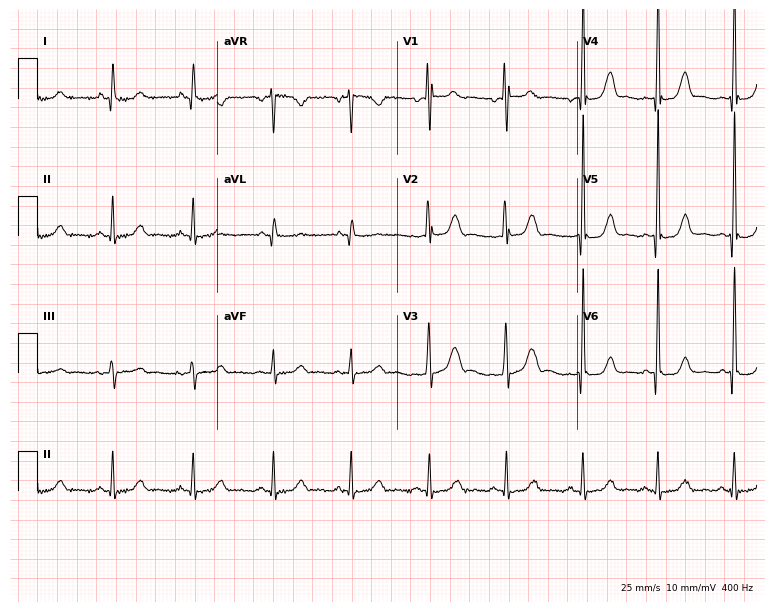
Electrocardiogram (7.3-second recording at 400 Hz), a 38-year-old female patient. Of the six screened findings (first-degree AV block, right bundle branch block, left bundle branch block, sinus bradycardia, atrial fibrillation, sinus tachycardia), none is recorded. Other findings, if any, are not listed.